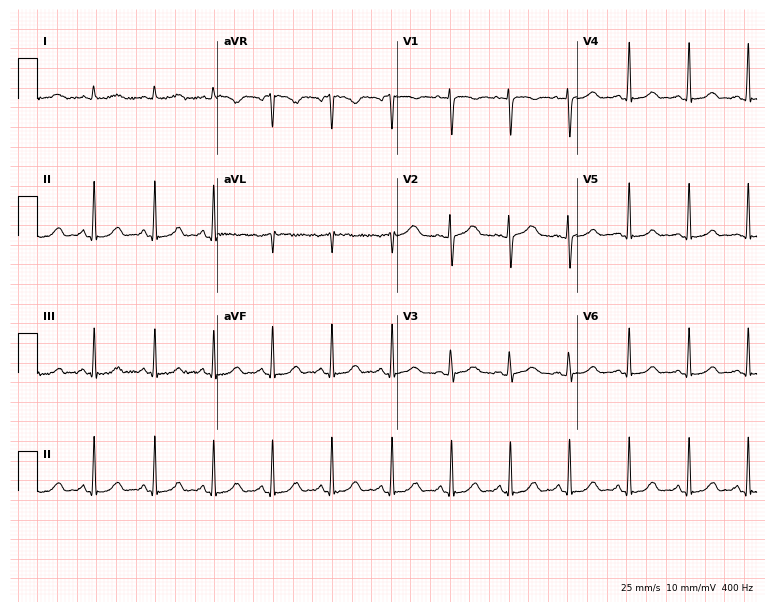
12-lead ECG from a woman, 34 years old (7.3-second recording at 400 Hz). No first-degree AV block, right bundle branch block, left bundle branch block, sinus bradycardia, atrial fibrillation or sinus tachycardia recorded for this tracing. Other findings, if any, are not listed.